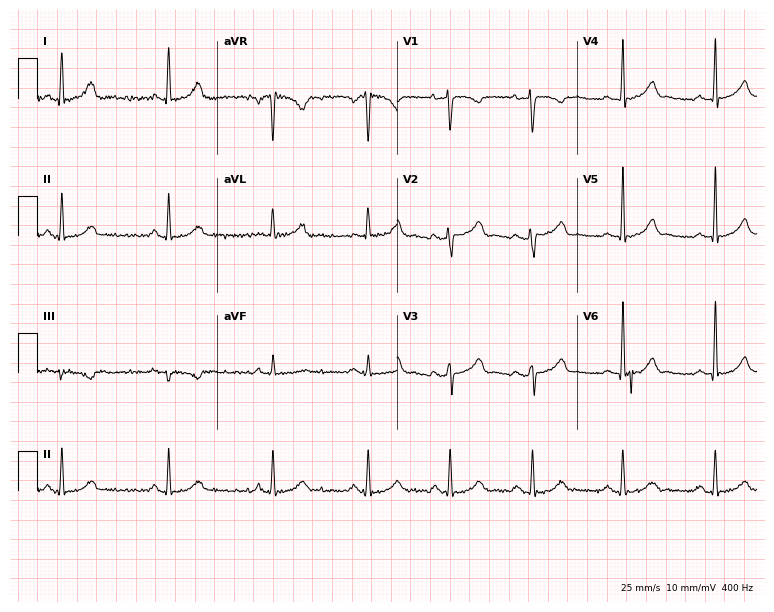
Electrocardiogram (7.3-second recording at 400 Hz), a 27-year-old female patient. Of the six screened findings (first-degree AV block, right bundle branch block (RBBB), left bundle branch block (LBBB), sinus bradycardia, atrial fibrillation (AF), sinus tachycardia), none is recorded.